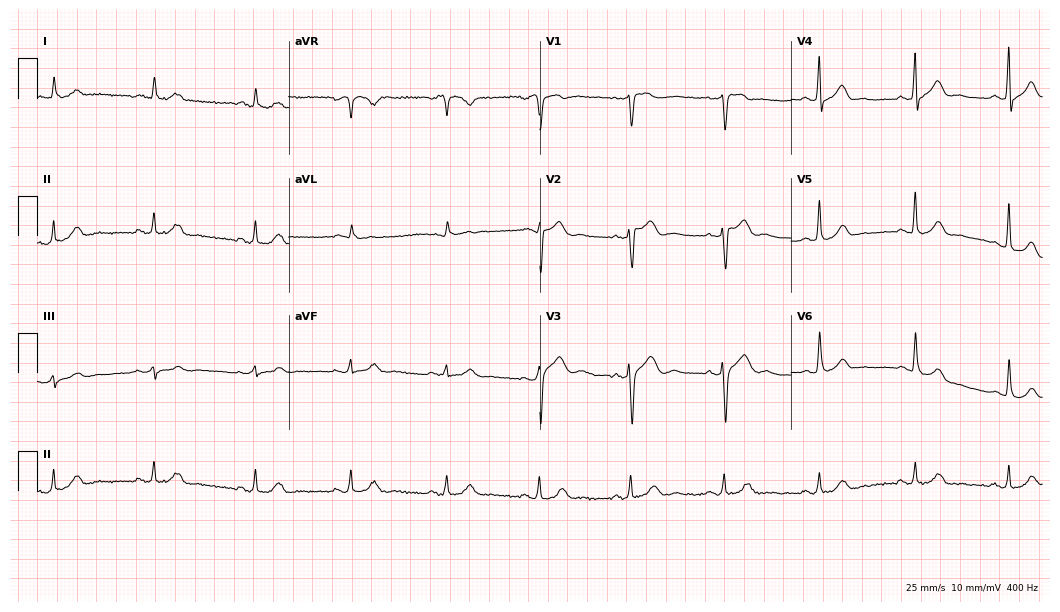
12-lead ECG from a 60-year-old man (10.2-second recording at 400 Hz). No first-degree AV block, right bundle branch block, left bundle branch block, sinus bradycardia, atrial fibrillation or sinus tachycardia recorded for this tracing.